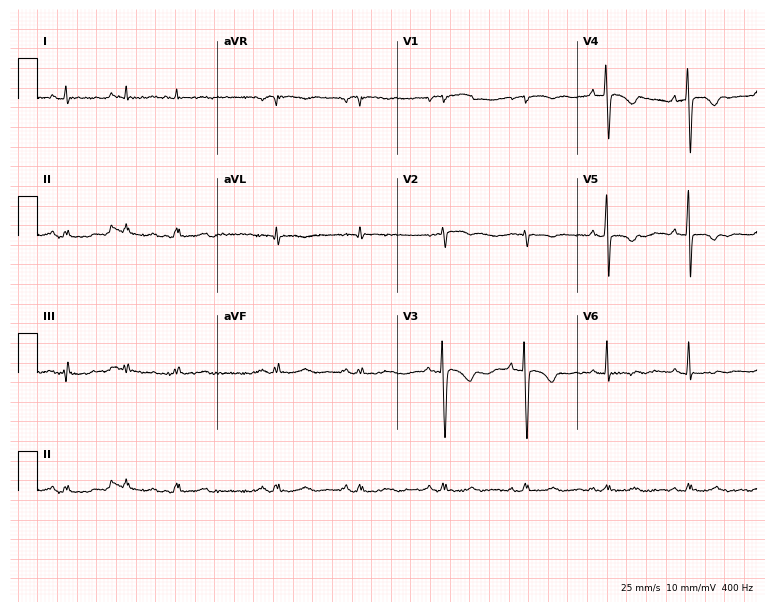
Standard 12-lead ECG recorded from a male patient, 80 years old (7.3-second recording at 400 Hz). None of these six findings is recorded: first-degree AV block, right bundle branch block (RBBB), left bundle branch block (LBBB), sinus bradycardia, atrial fibrillation (AF), sinus tachycardia. Only these six findings were labelled.